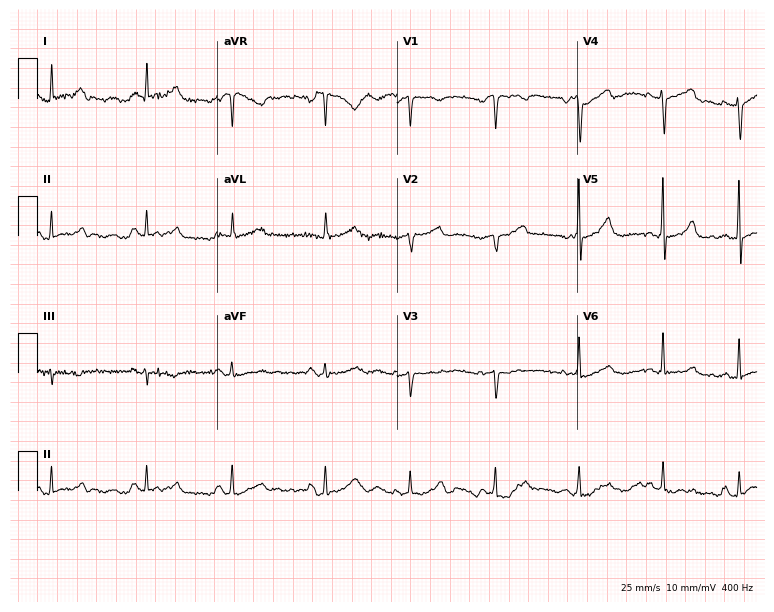
Standard 12-lead ECG recorded from a woman, 37 years old. None of these six findings is recorded: first-degree AV block, right bundle branch block, left bundle branch block, sinus bradycardia, atrial fibrillation, sinus tachycardia.